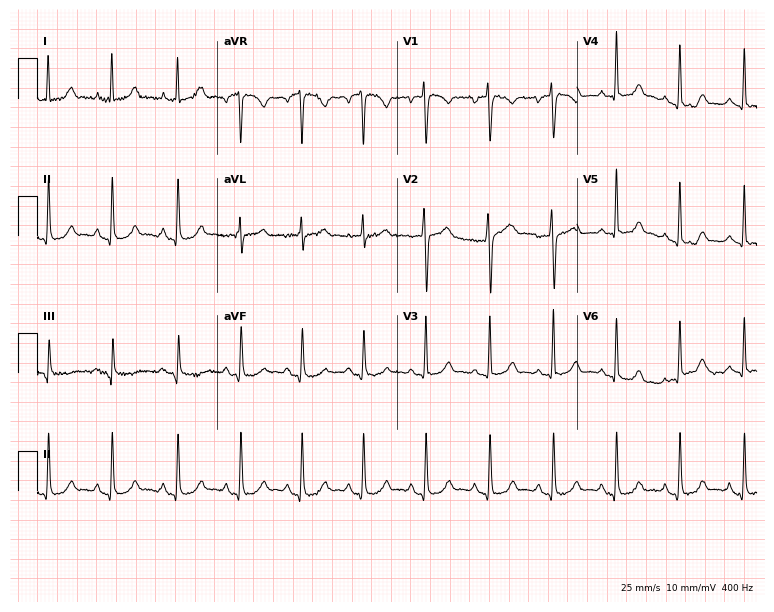
Resting 12-lead electrocardiogram (7.3-second recording at 400 Hz). Patient: a 33-year-old female. Read as a normal ECG.